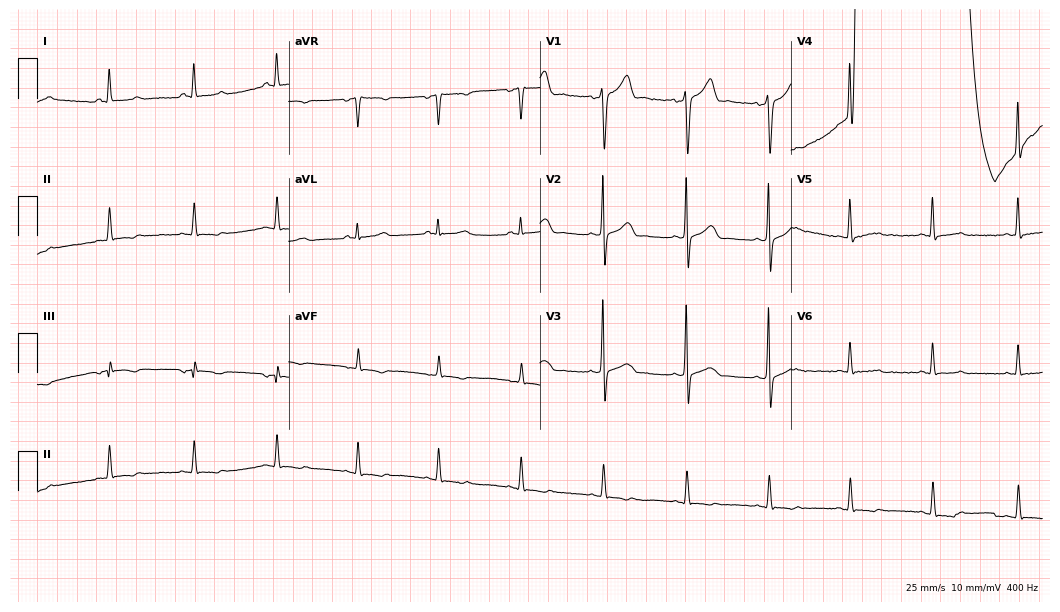
Standard 12-lead ECG recorded from a 47-year-old female patient (10.2-second recording at 400 Hz). None of these six findings is recorded: first-degree AV block, right bundle branch block (RBBB), left bundle branch block (LBBB), sinus bradycardia, atrial fibrillation (AF), sinus tachycardia.